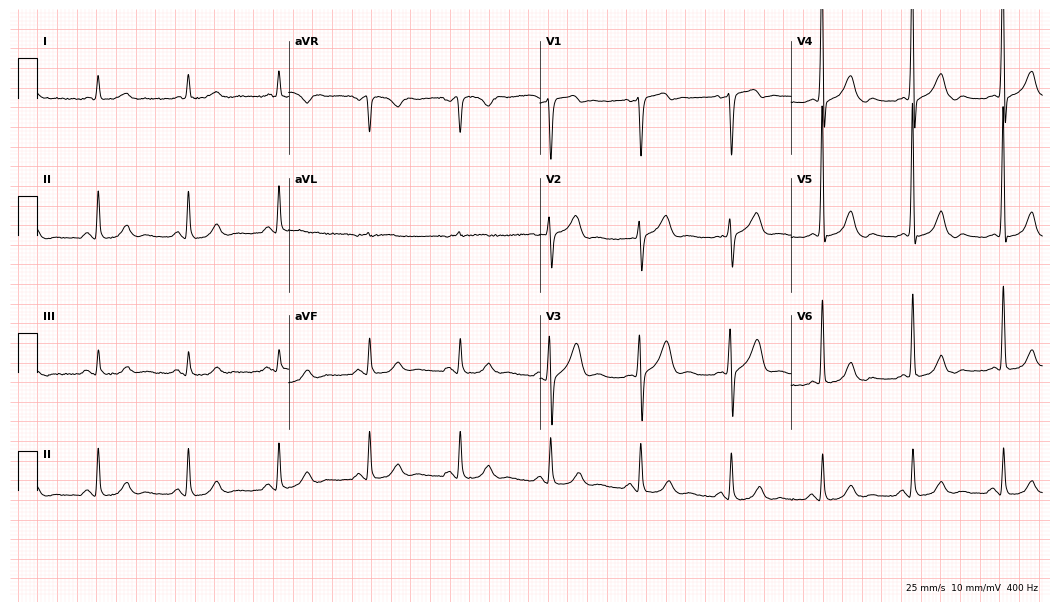
Standard 12-lead ECG recorded from a male, 68 years old (10.2-second recording at 400 Hz). None of these six findings is recorded: first-degree AV block, right bundle branch block, left bundle branch block, sinus bradycardia, atrial fibrillation, sinus tachycardia.